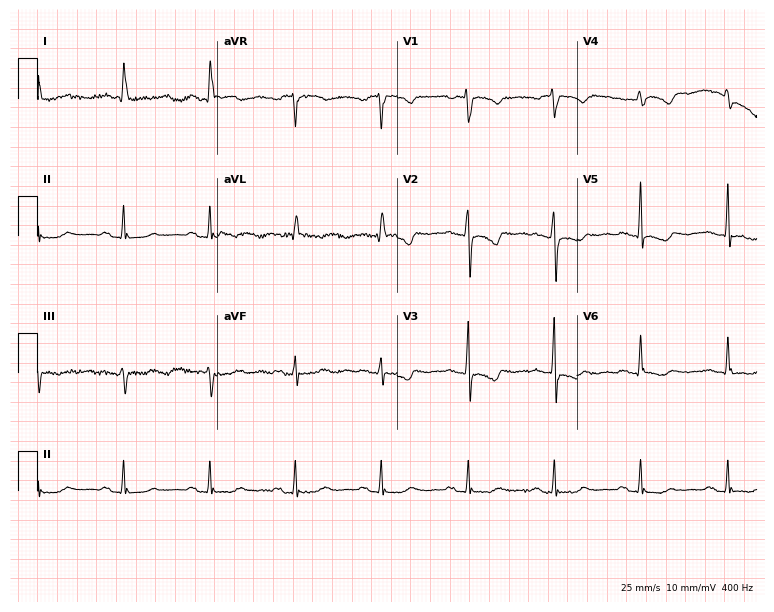
ECG — a female, 71 years old. Screened for six findings — first-degree AV block, right bundle branch block (RBBB), left bundle branch block (LBBB), sinus bradycardia, atrial fibrillation (AF), sinus tachycardia — none is recorded. Only these six findings were labelled.